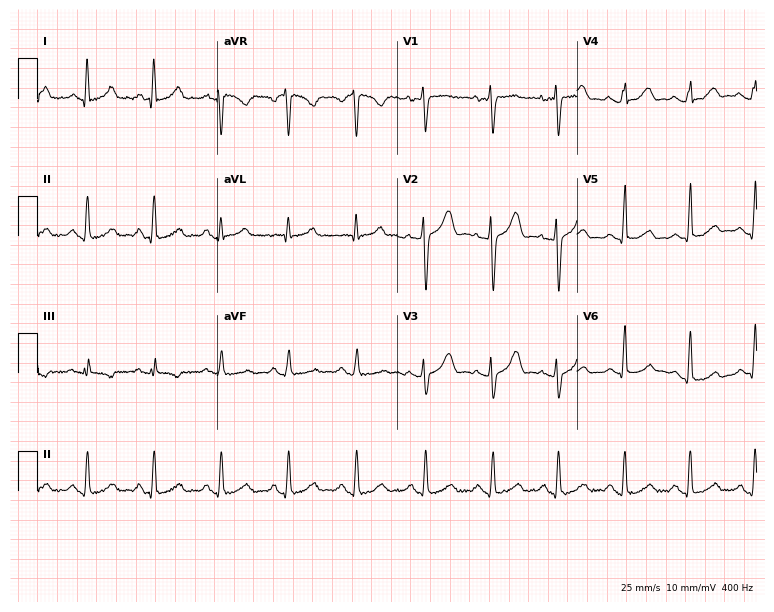
Standard 12-lead ECG recorded from a 37-year-old female patient. Read as a normal ECG.